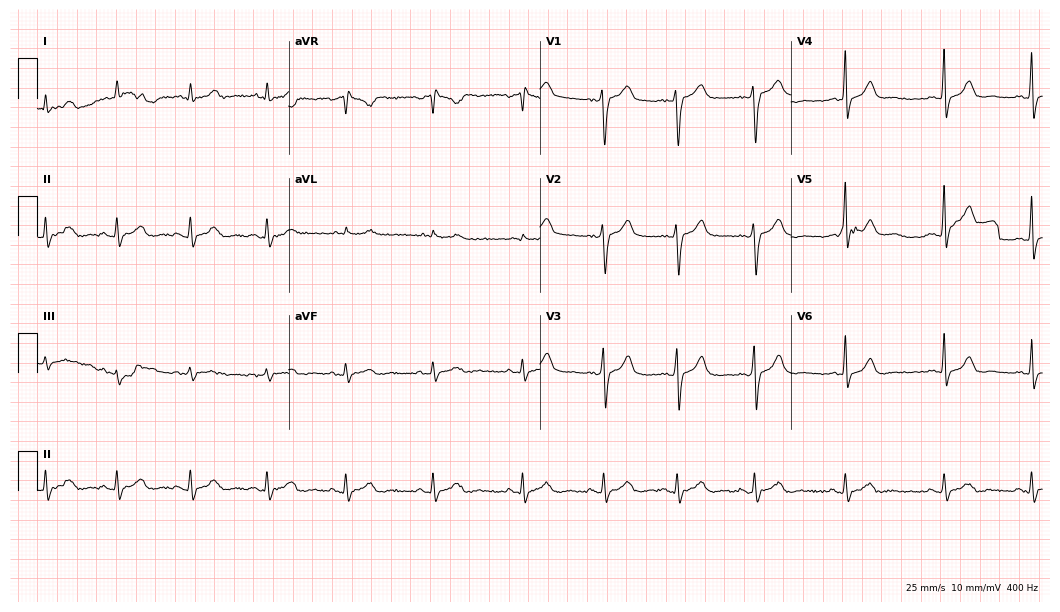
Resting 12-lead electrocardiogram. Patient: a 45-year-old male. None of these six findings is recorded: first-degree AV block, right bundle branch block, left bundle branch block, sinus bradycardia, atrial fibrillation, sinus tachycardia. Findings outside these six are not listed.